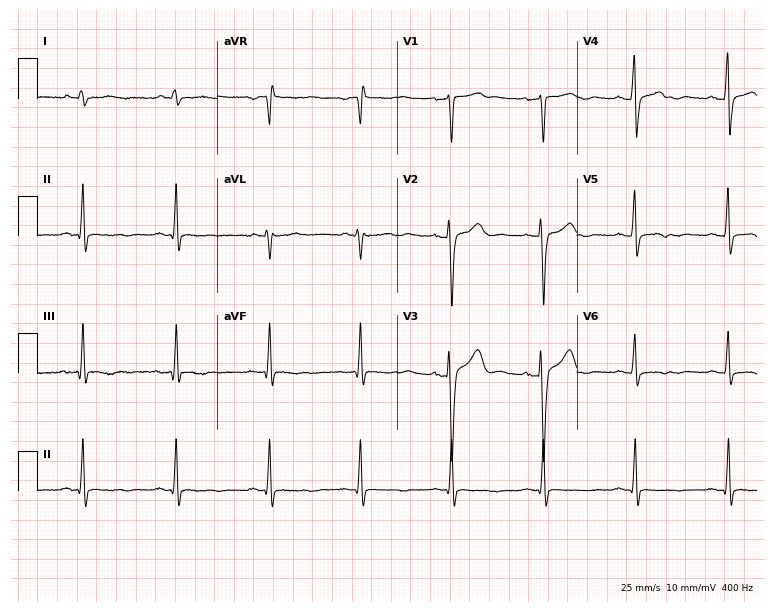
Standard 12-lead ECG recorded from a man, 41 years old. Read as a normal ECG.